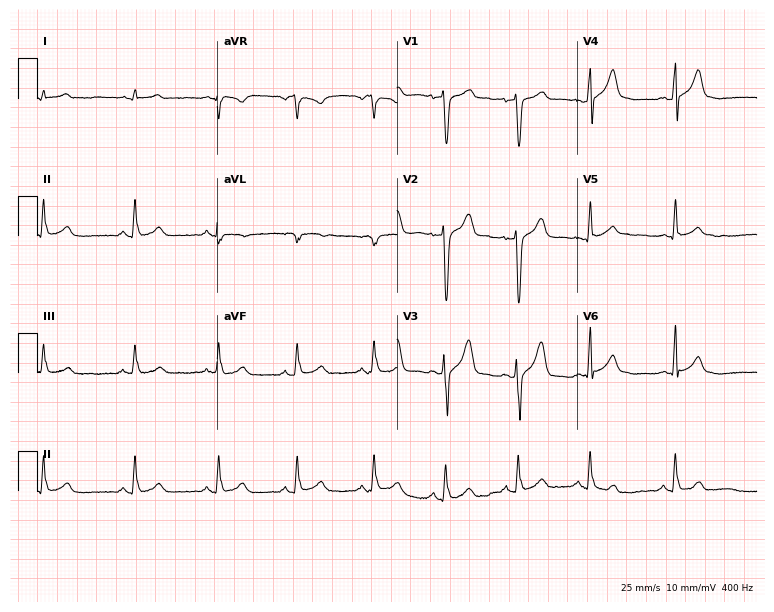
Electrocardiogram (7.3-second recording at 400 Hz), a 27-year-old man. Overall reading on record: normal ECG.